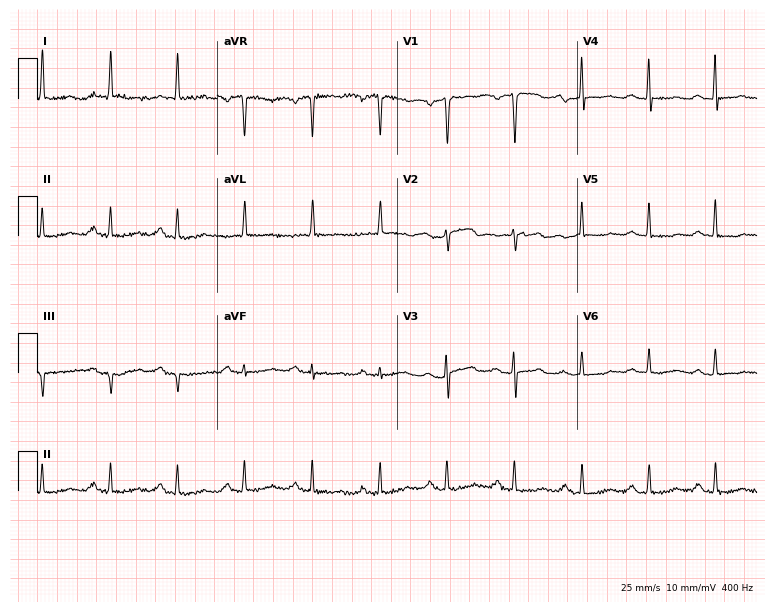
Resting 12-lead electrocardiogram (7.3-second recording at 400 Hz). Patient: a 75-year-old female. None of these six findings is recorded: first-degree AV block, right bundle branch block, left bundle branch block, sinus bradycardia, atrial fibrillation, sinus tachycardia. Only these six findings were labelled.